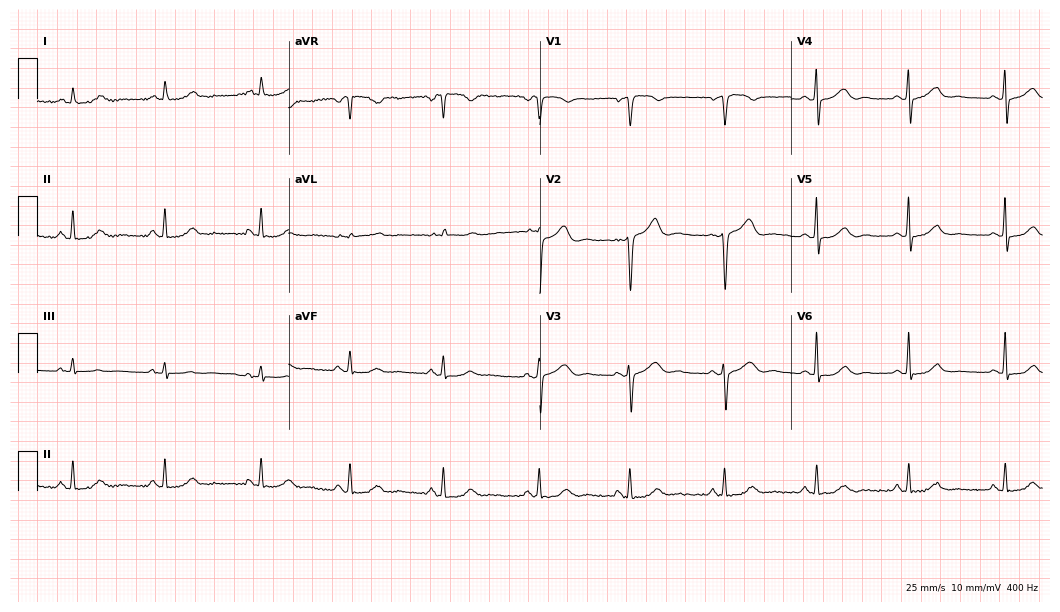
12-lead ECG from a female patient, 54 years old. Labelled as a normal ECG.